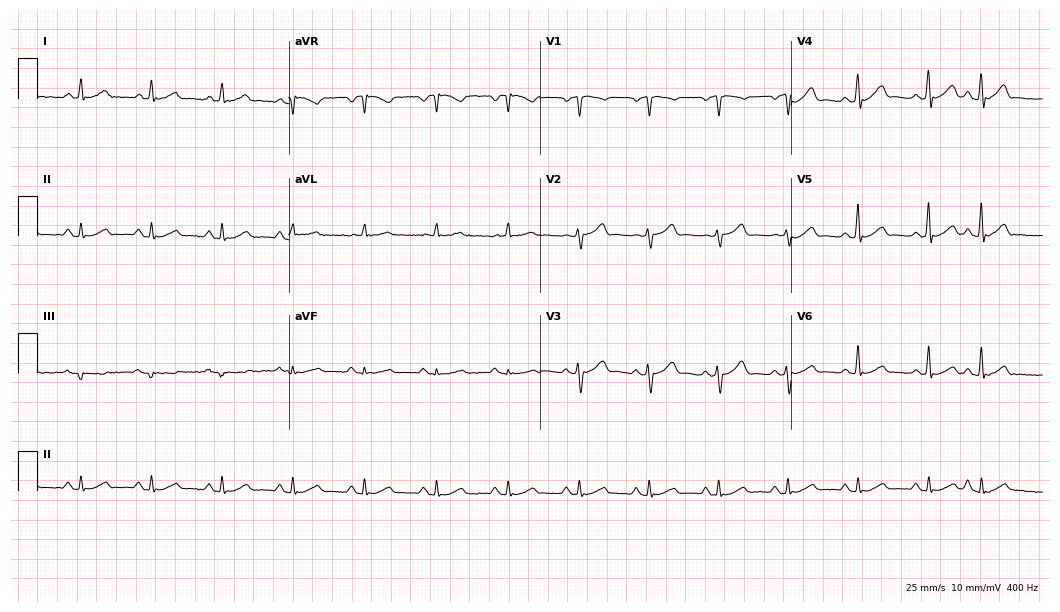
ECG (10.2-second recording at 400 Hz) — a 58-year-old man. Screened for six findings — first-degree AV block, right bundle branch block, left bundle branch block, sinus bradycardia, atrial fibrillation, sinus tachycardia — none is recorded. Other findings, if any, are not listed.